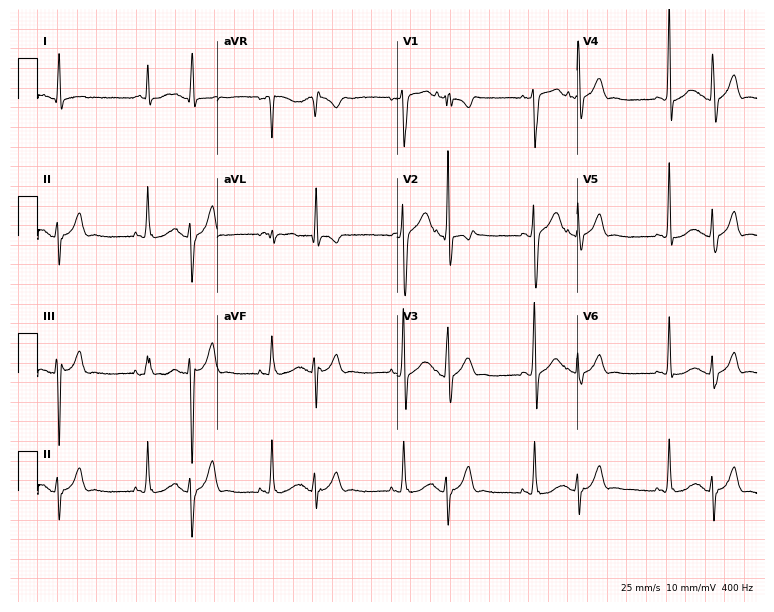
Resting 12-lead electrocardiogram (7.3-second recording at 400 Hz). Patient: a 37-year-old man. None of these six findings is recorded: first-degree AV block, right bundle branch block, left bundle branch block, sinus bradycardia, atrial fibrillation, sinus tachycardia.